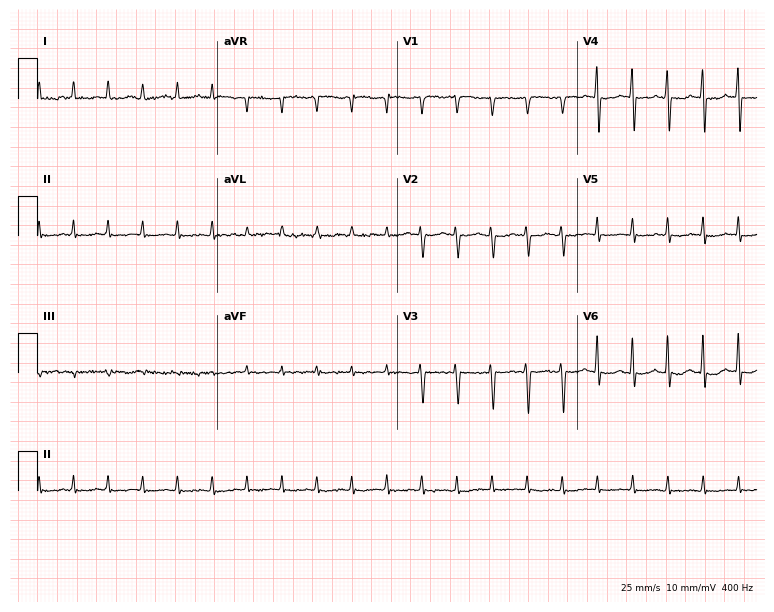
Standard 12-lead ECG recorded from a female patient, 70 years old. None of these six findings is recorded: first-degree AV block, right bundle branch block (RBBB), left bundle branch block (LBBB), sinus bradycardia, atrial fibrillation (AF), sinus tachycardia. Findings outside these six are not listed.